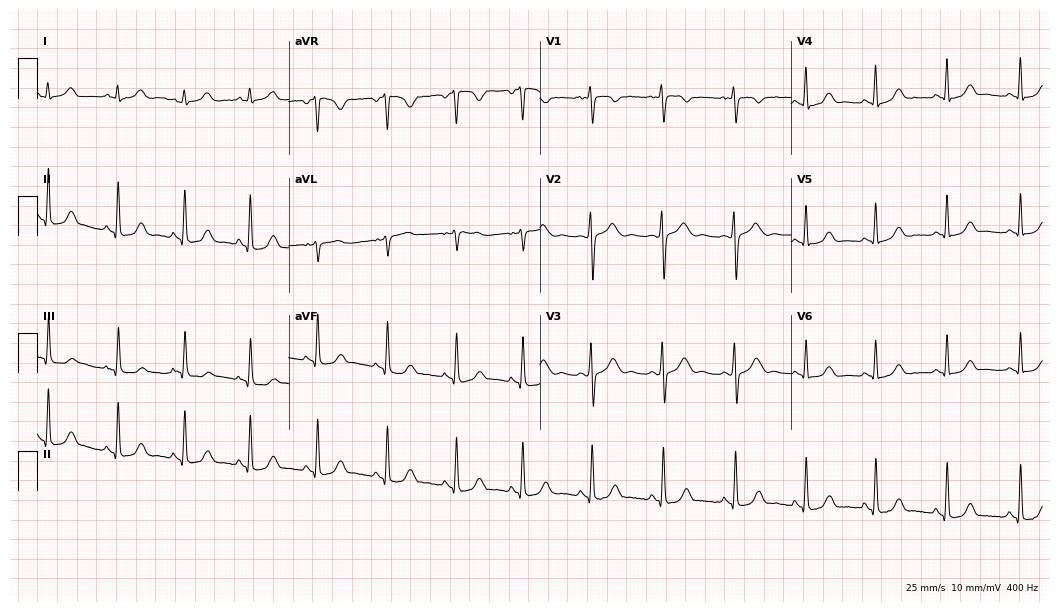
Standard 12-lead ECG recorded from a 23-year-old female (10.2-second recording at 400 Hz). Read as a normal ECG.